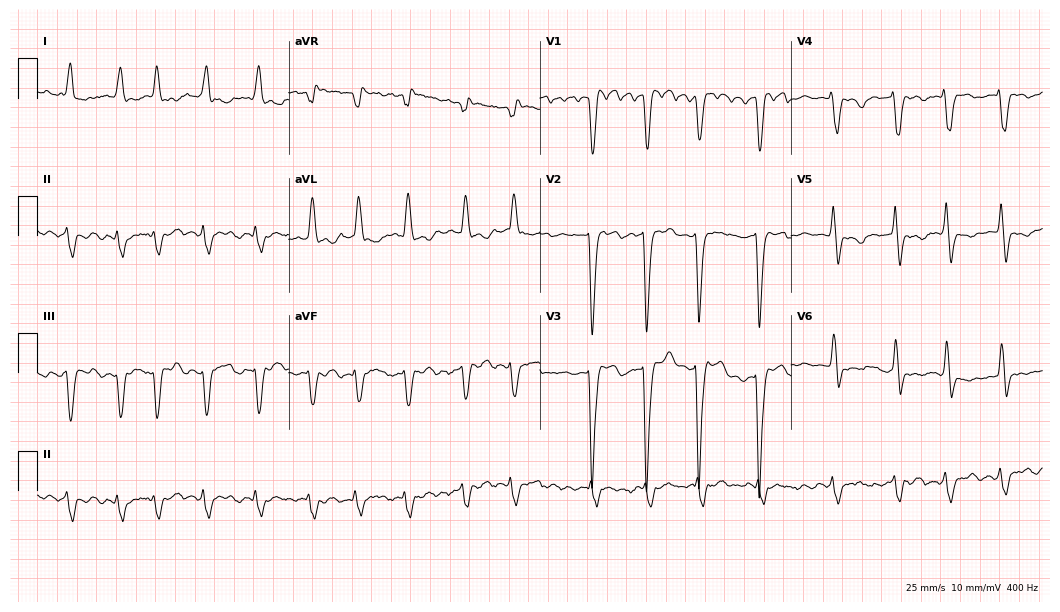
12-lead ECG from a male, 62 years old. Screened for six findings — first-degree AV block, right bundle branch block, left bundle branch block, sinus bradycardia, atrial fibrillation, sinus tachycardia — none is recorded.